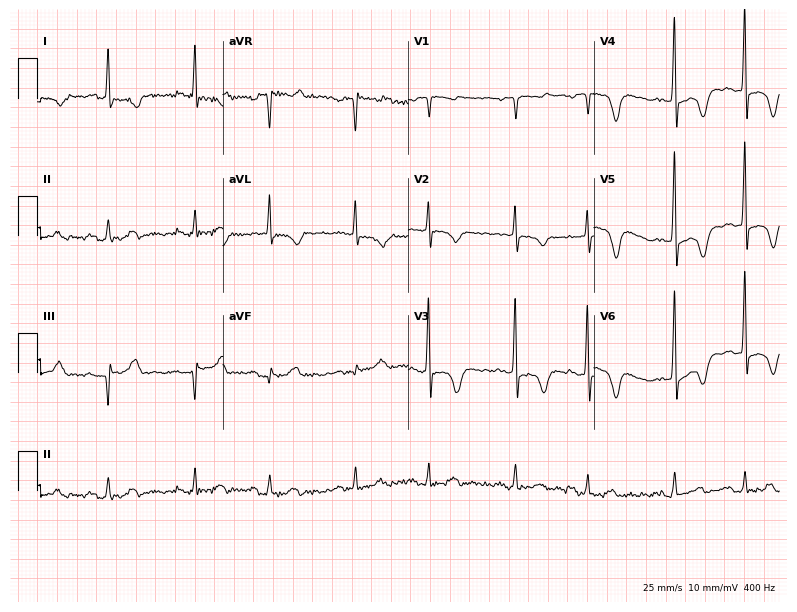
Electrocardiogram, a male patient, 82 years old. Of the six screened findings (first-degree AV block, right bundle branch block (RBBB), left bundle branch block (LBBB), sinus bradycardia, atrial fibrillation (AF), sinus tachycardia), none is recorded. Only these six findings were labelled.